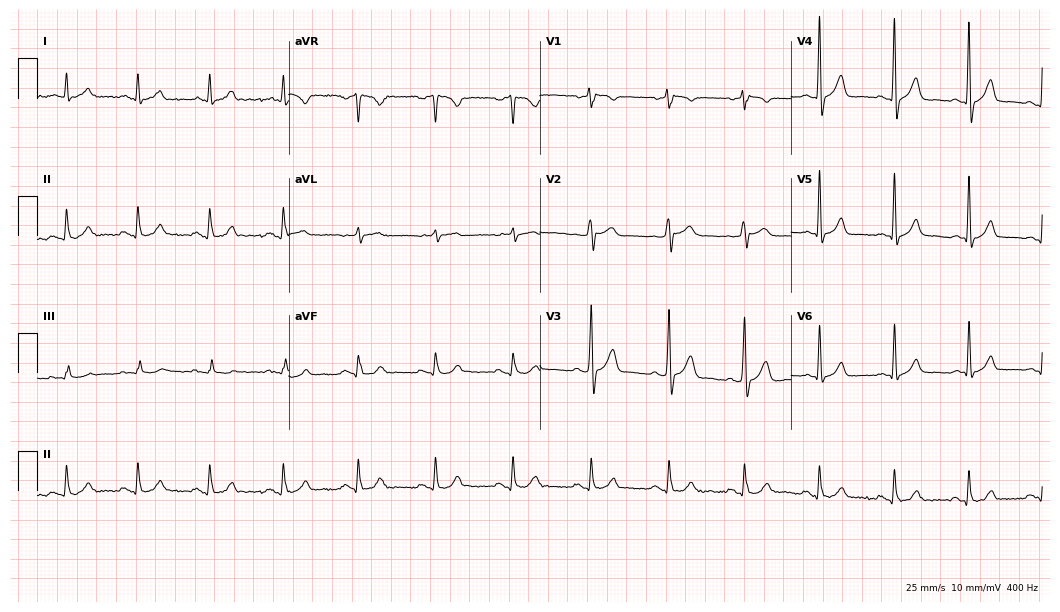
Standard 12-lead ECG recorded from a male patient, 60 years old (10.2-second recording at 400 Hz). Read as a normal ECG.